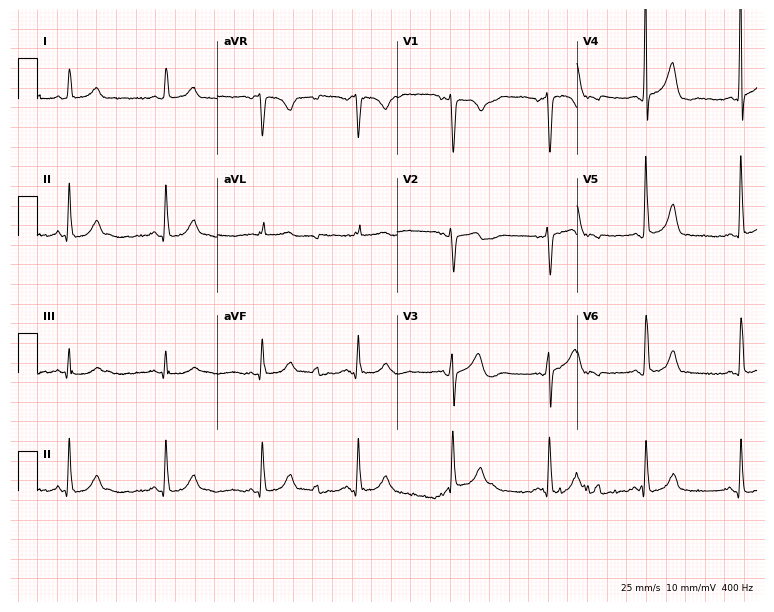
Standard 12-lead ECG recorded from a woman, 42 years old. Read as a normal ECG.